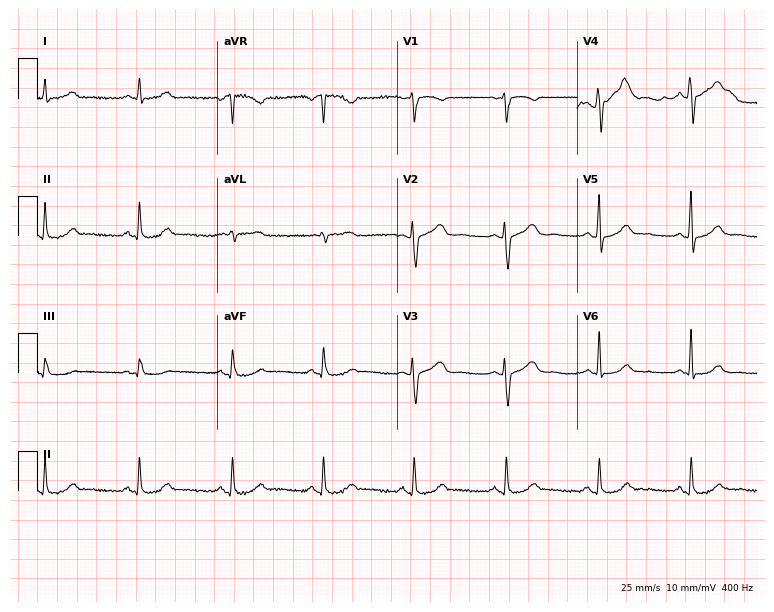
Standard 12-lead ECG recorded from a woman, 51 years old (7.3-second recording at 400 Hz). Read as a normal ECG.